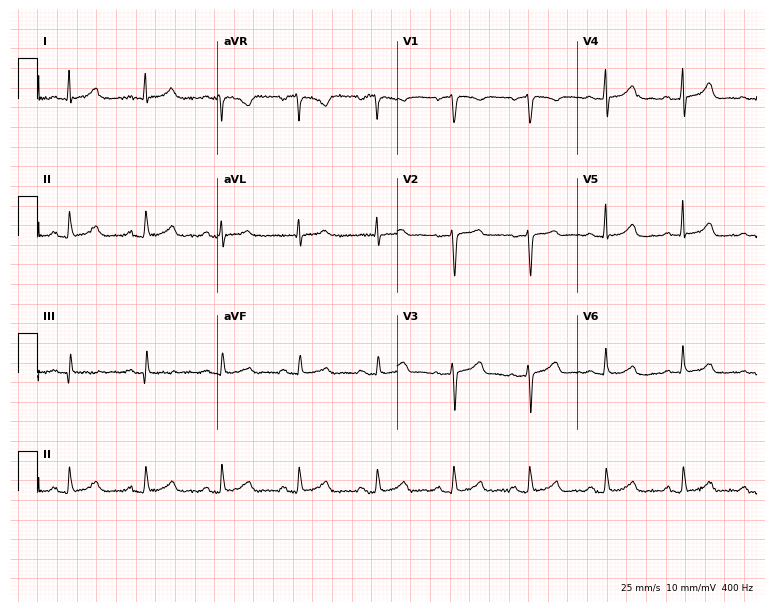
ECG — a woman, 48 years old. Labelled as a normal ECG.